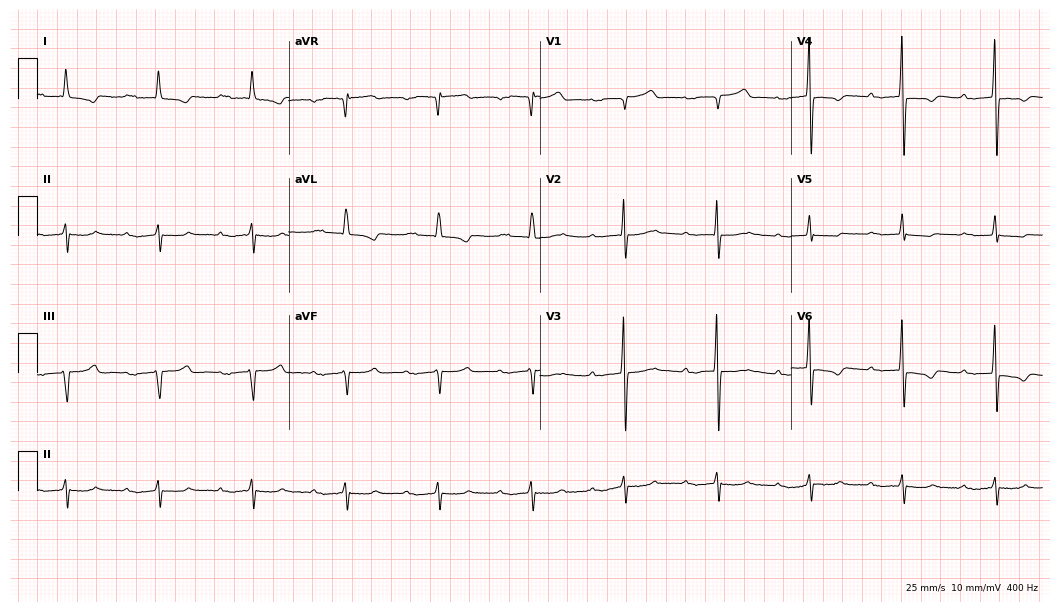
Resting 12-lead electrocardiogram (10.2-second recording at 400 Hz). Patient: an 85-year-old male. The tracing shows first-degree AV block.